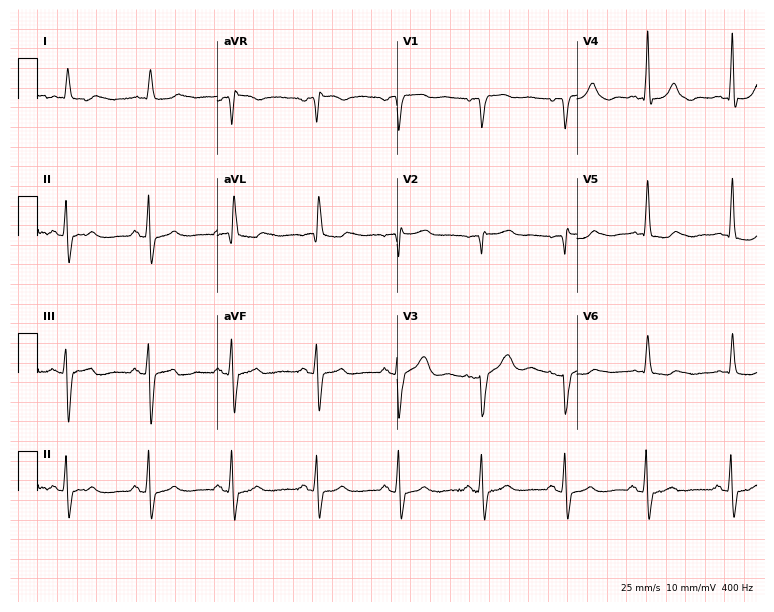
Electrocardiogram, an 85-year-old woman. Of the six screened findings (first-degree AV block, right bundle branch block (RBBB), left bundle branch block (LBBB), sinus bradycardia, atrial fibrillation (AF), sinus tachycardia), none is recorded.